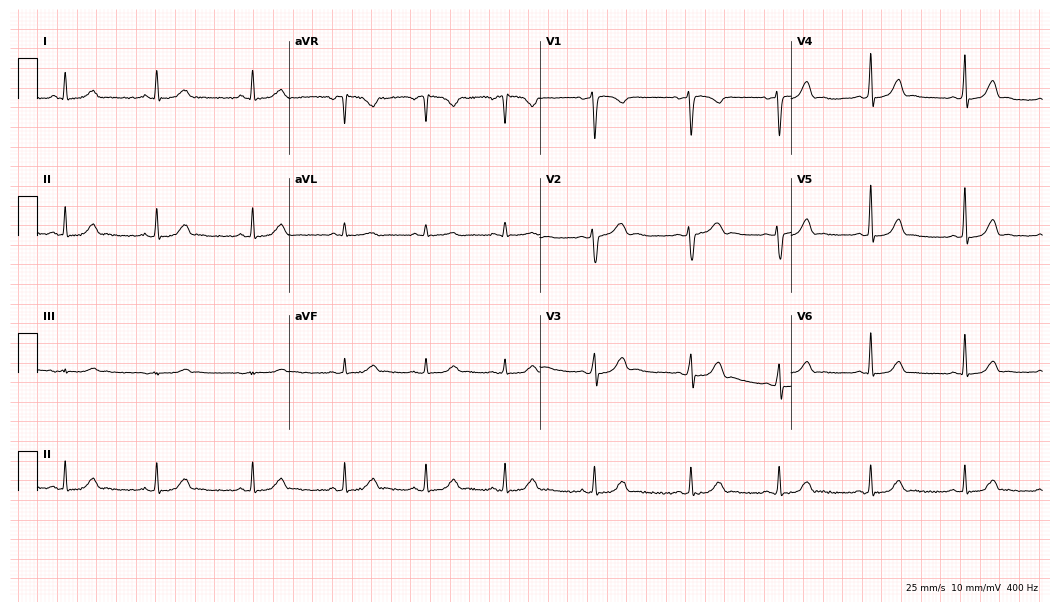
12-lead ECG from a 38-year-old woman (10.2-second recording at 400 Hz). Recorded interpretation: within normal limits.